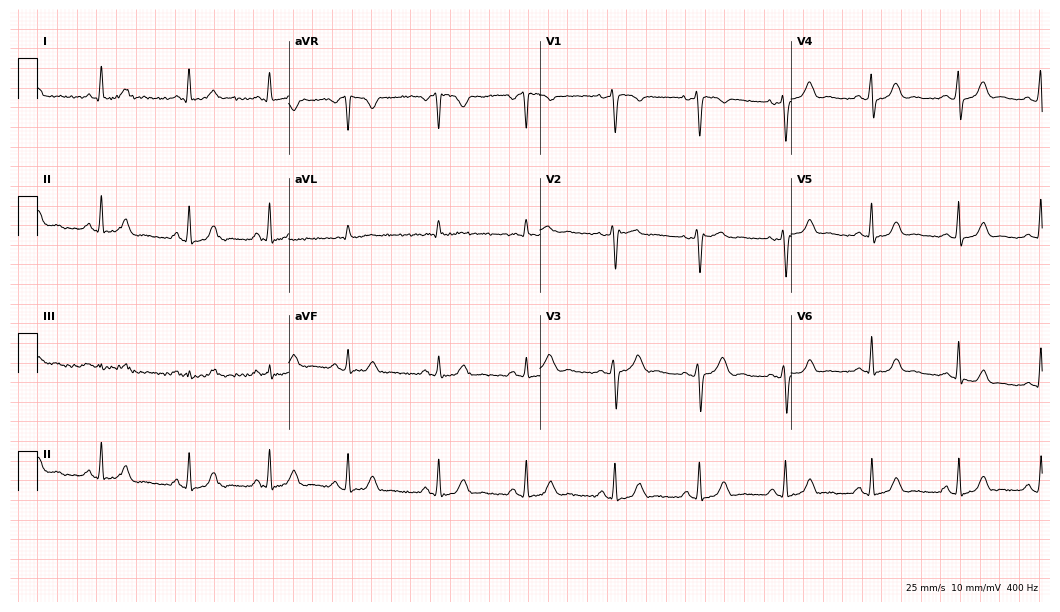
Electrocardiogram, a 45-year-old woman. Overall reading on record: normal ECG.